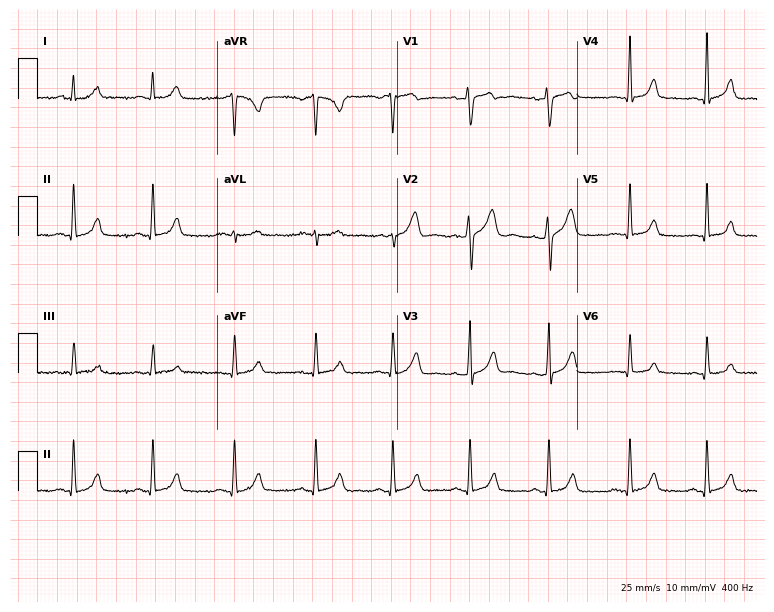
12-lead ECG from a female patient, 38 years old. Labelled as a normal ECG.